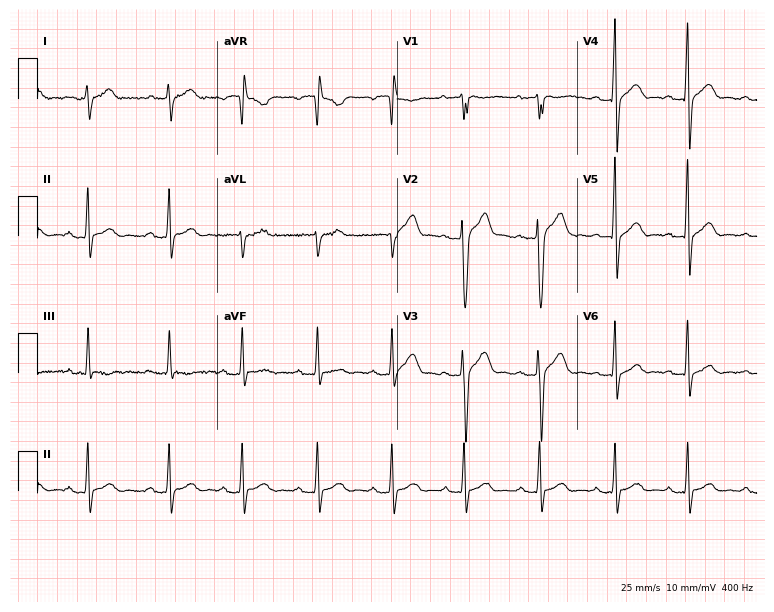
12-lead ECG (7.3-second recording at 400 Hz) from a man, 28 years old. Screened for six findings — first-degree AV block, right bundle branch block, left bundle branch block, sinus bradycardia, atrial fibrillation, sinus tachycardia — none is recorded. Findings outside these six are not listed.